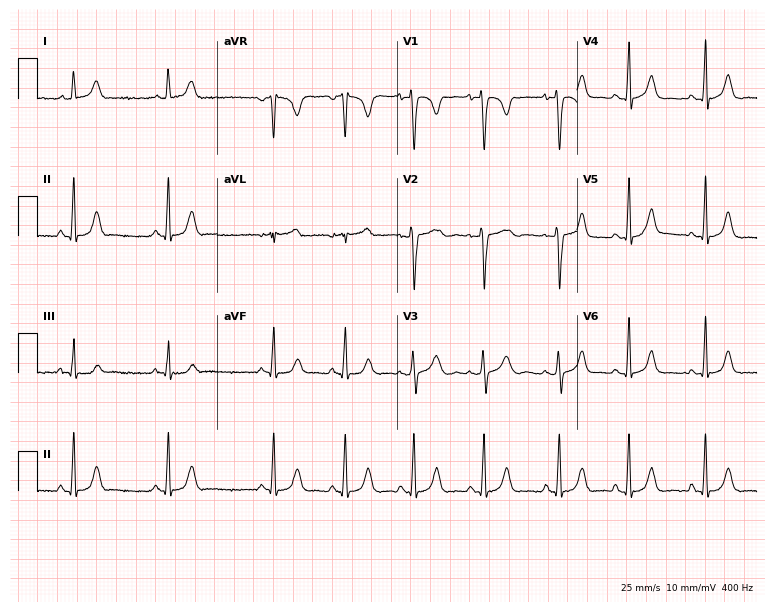
Resting 12-lead electrocardiogram. Patient: a 22-year-old female. None of these six findings is recorded: first-degree AV block, right bundle branch block, left bundle branch block, sinus bradycardia, atrial fibrillation, sinus tachycardia.